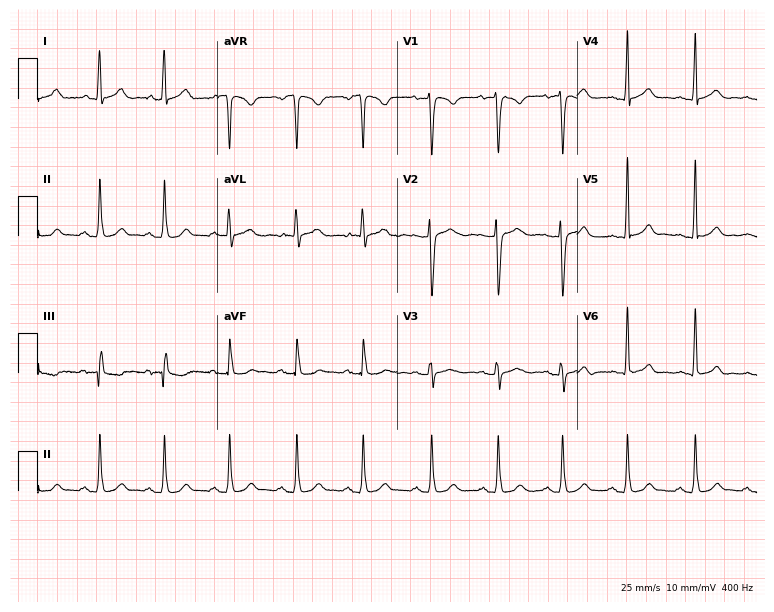
Electrocardiogram, a 28-year-old female patient. Overall reading on record: normal ECG.